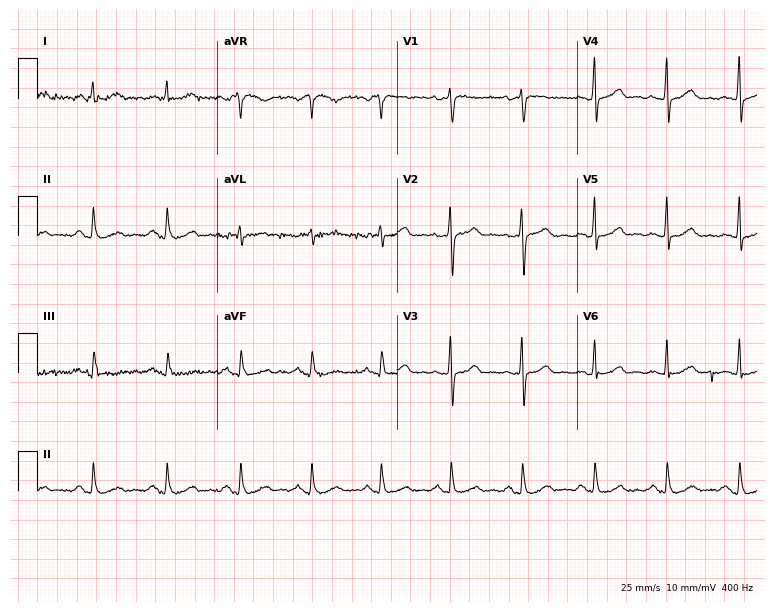
12-lead ECG from a 56-year-old male patient (7.3-second recording at 400 Hz). Recorded interpretation: within normal limits.